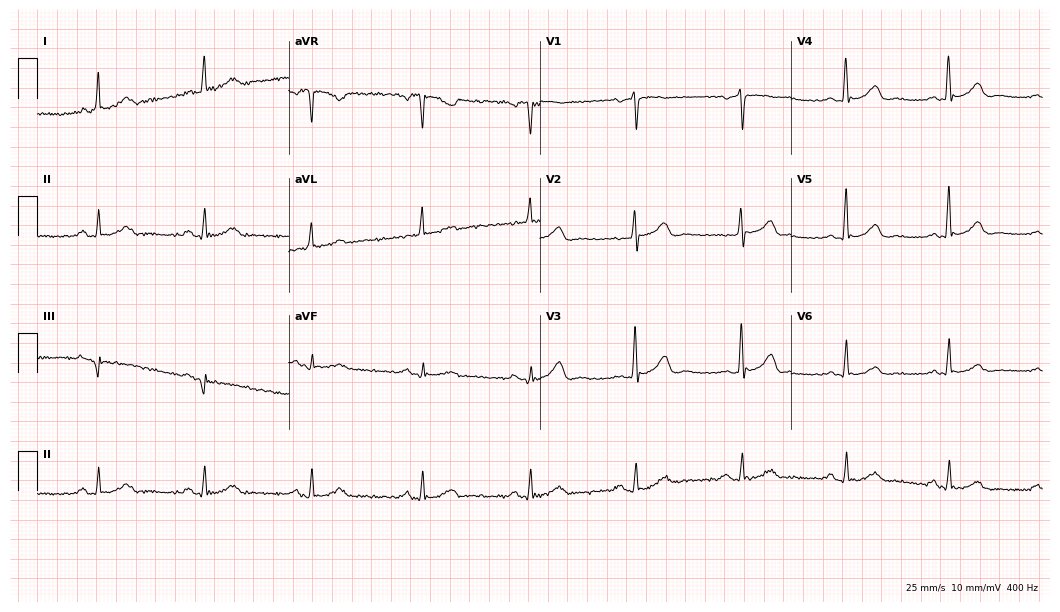
12-lead ECG (10.2-second recording at 400 Hz) from a female, 54 years old. Screened for six findings — first-degree AV block, right bundle branch block, left bundle branch block, sinus bradycardia, atrial fibrillation, sinus tachycardia — none is recorded. Other findings, if any, are not listed.